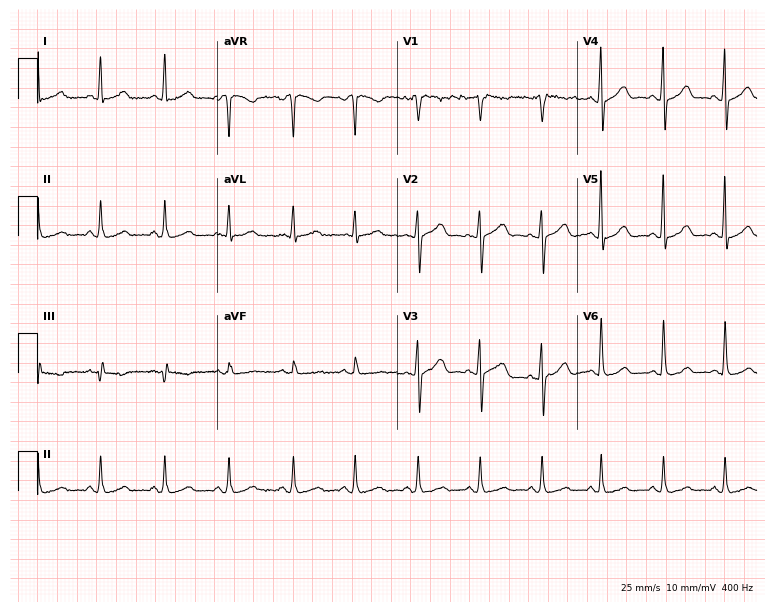
Electrocardiogram, a female patient, 56 years old. Of the six screened findings (first-degree AV block, right bundle branch block, left bundle branch block, sinus bradycardia, atrial fibrillation, sinus tachycardia), none is recorded.